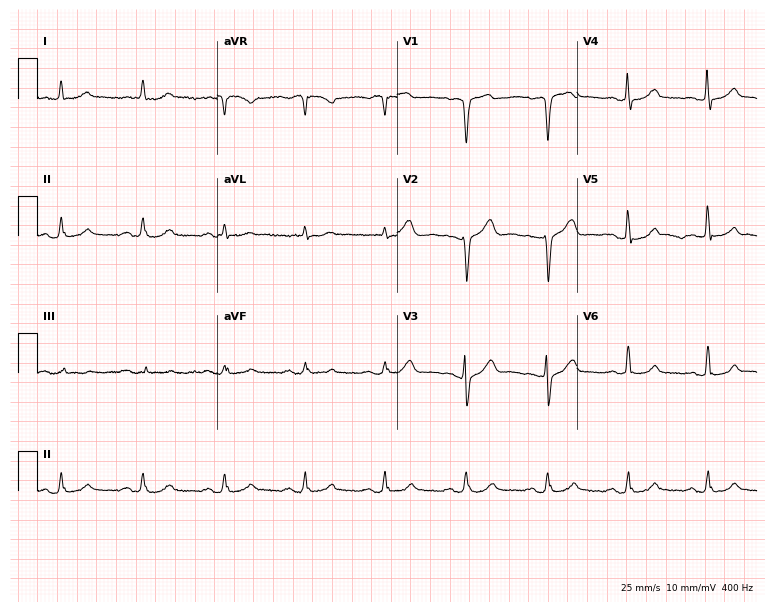
ECG — a male patient, 74 years old. Screened for six findings — first-degree AV block, right bundle branch block (RBBB), left bundle branch block (LBBB), sinus bradycardia, atrial fibrillation (AF), sinus tachycardia — none is recorded.